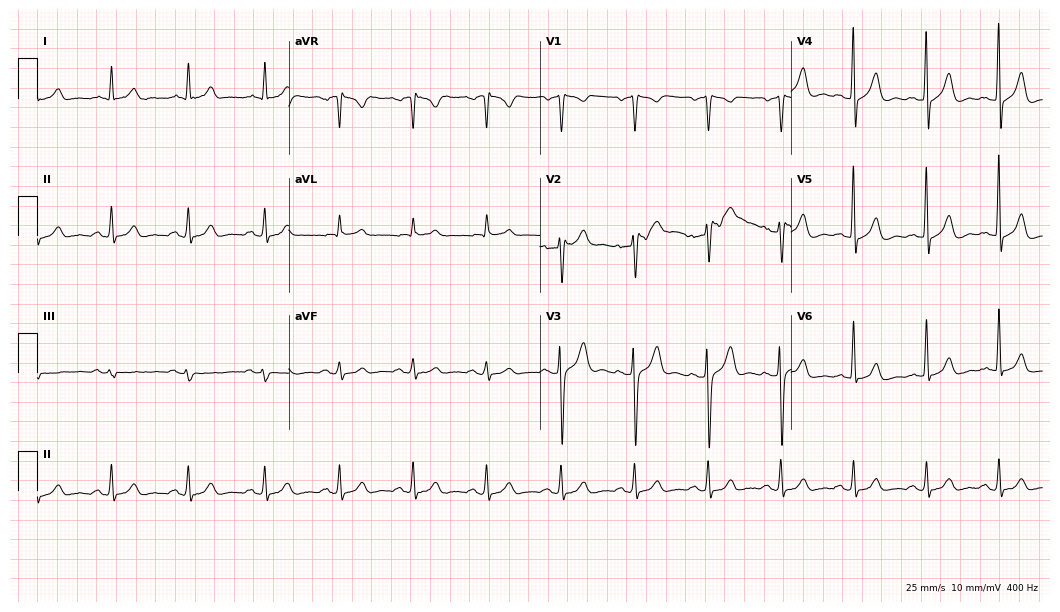
Standard 12-lead ECG recorded from a man, 57 years old. Read as a normal ECG.